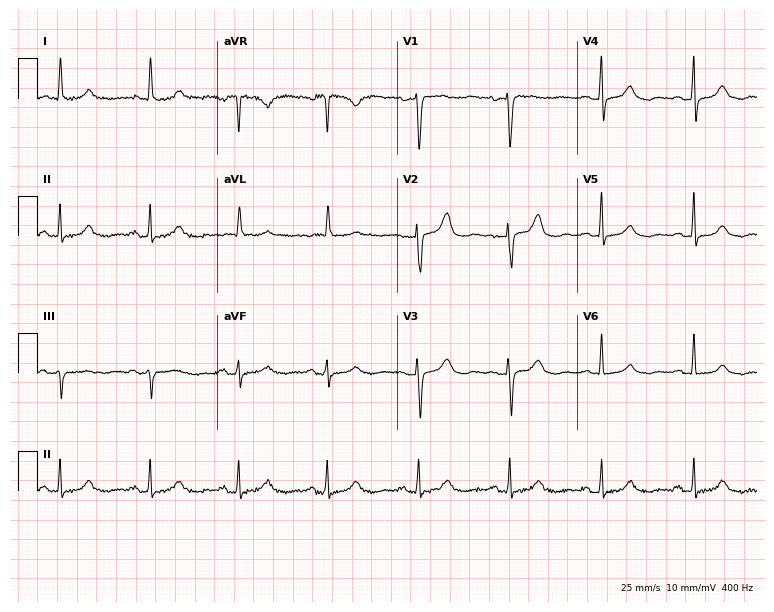
12-lead ECG from a female, 66 years old. Labelled as a normal ECG.